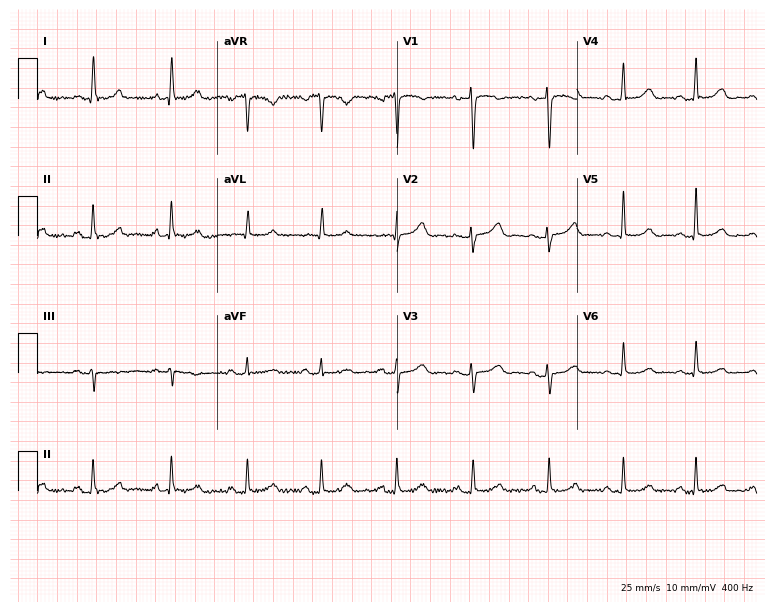
12-lead ECG from a 58-year-old woman. Recorded interpretation: within normal limits.